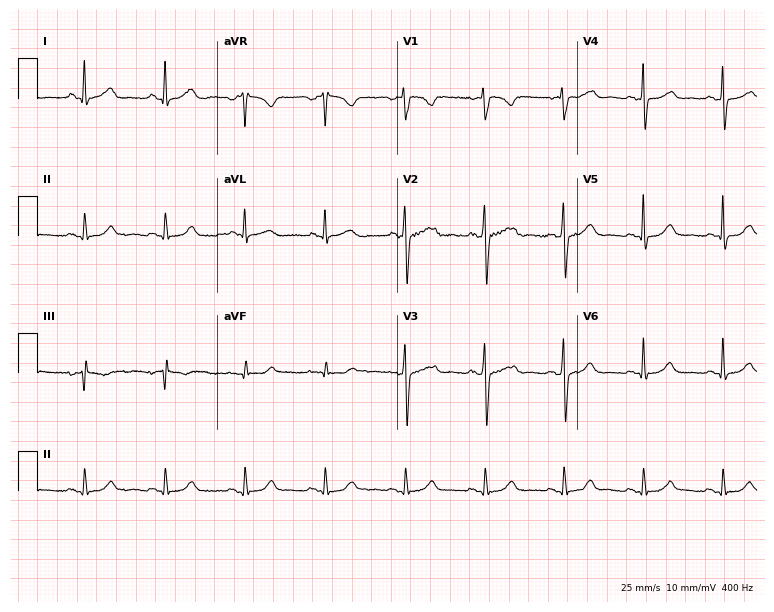
Resting 12-lead electrocardiogram (7.3-second recording at 400 Hz). Patient: a woman, 42 years old. None of these six findings is recorded: first-degree AV block, right bundle branch block, left bundle branch block, sinus bradycardia, atrial fibrillation, sinus tachycardia.